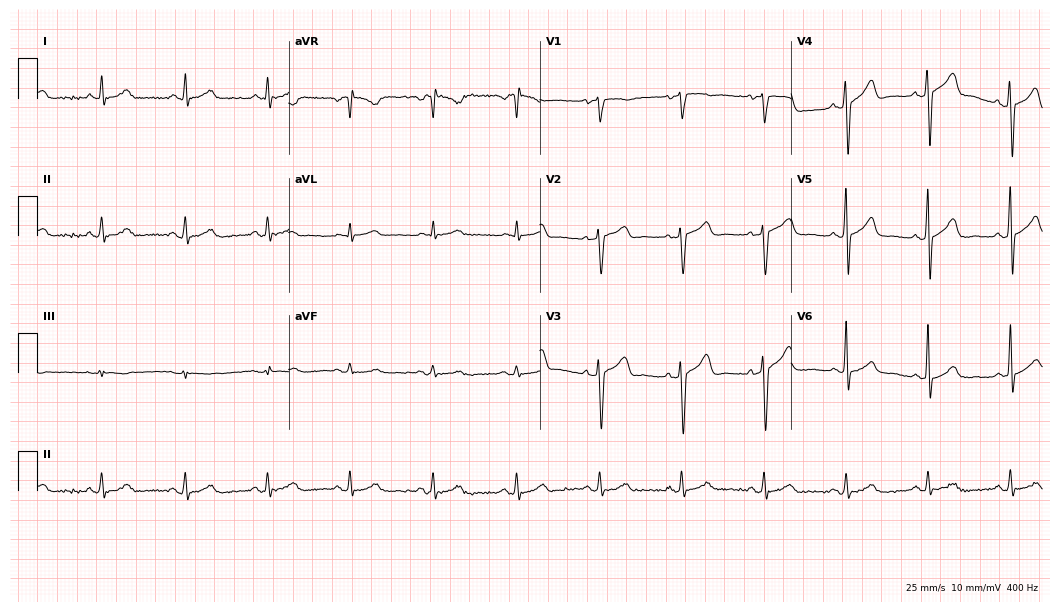
Resting 12-lead electrocardiogram. Patient: a male, 51 years old. Read as a normal ECG.